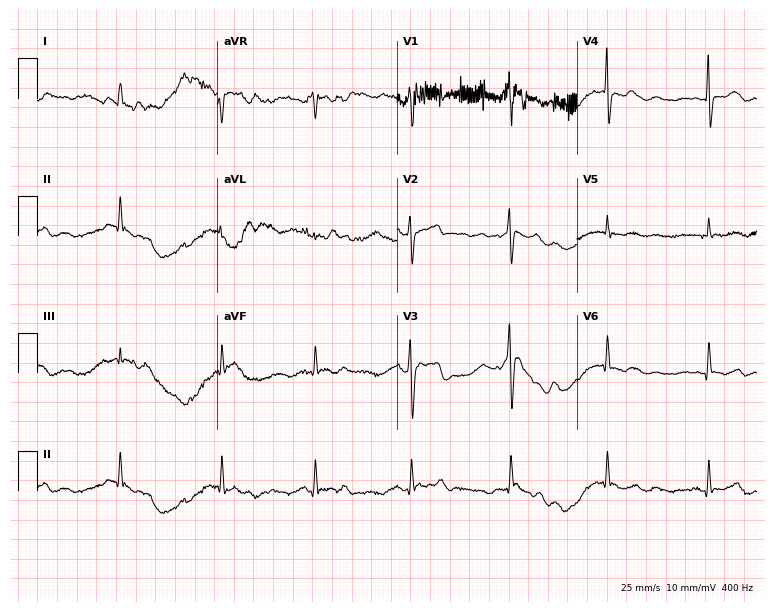
ECG — a female patient, 62 years old. Screened for six findings — first-degree AV block, right bundle branch block, left bundle branch block, sinus bradycardia, atrial fibrillation, sinus tachycardia — none is recorded.